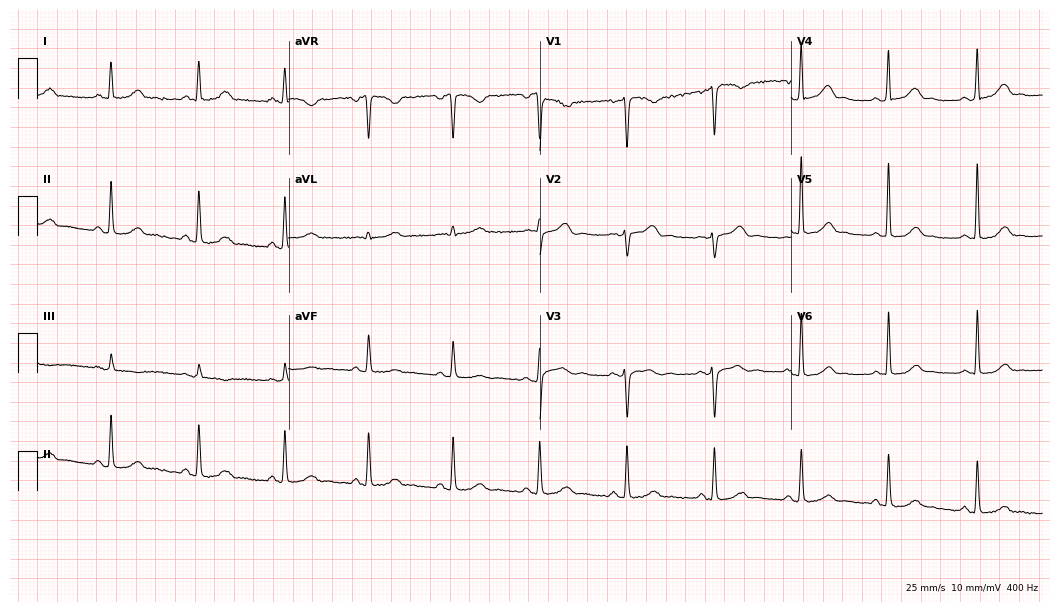
12-lead ECG (10.2-second recording at 400 Hz) from a female, 40 years old. Screened for six findings — first-degree AV block, right bundle branch block, left bundle branch block, sinus bradycardia, atrial fibrillation, sinus tachycardia — none is recorded.